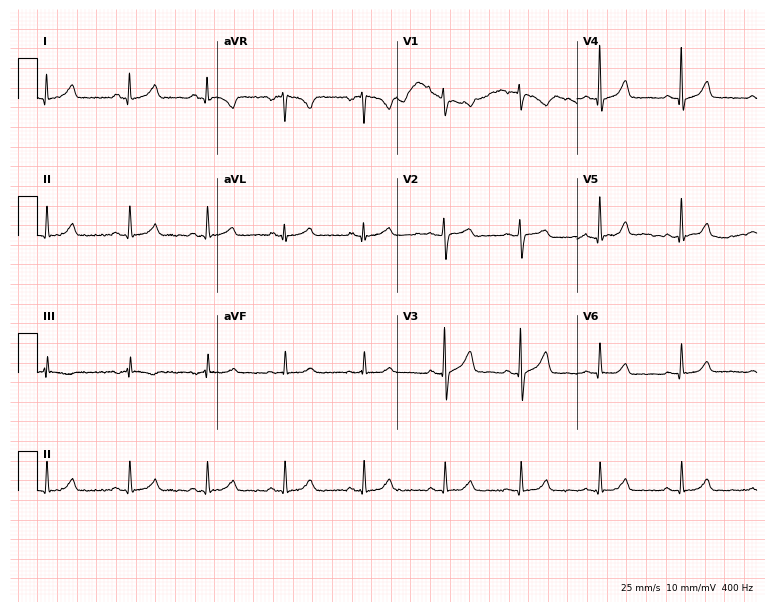
Electrocardiogram, a female patient, 41 years old. Overall reading on record: normal ECG.